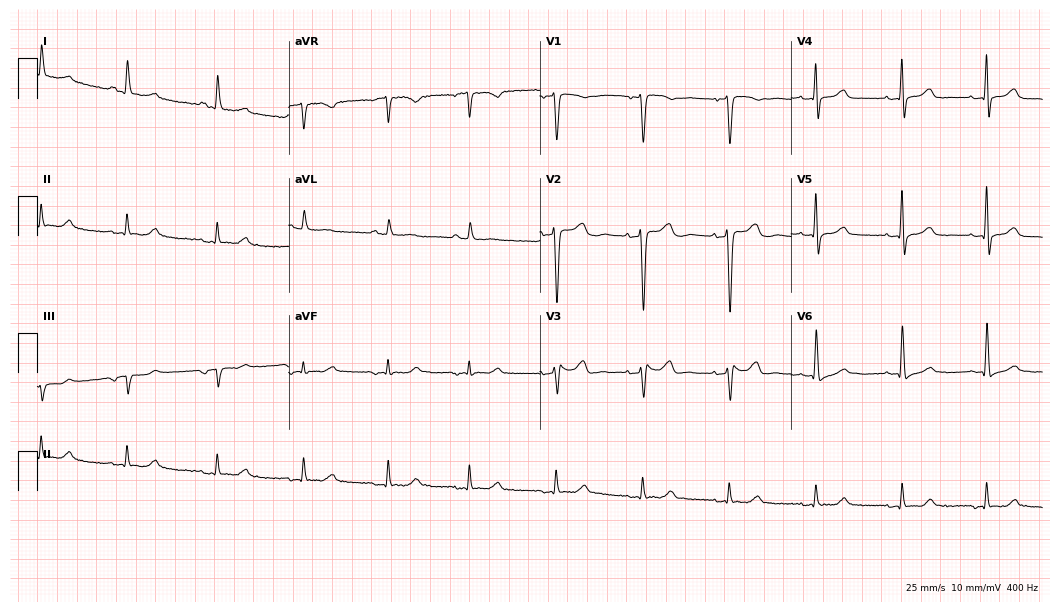
ECG — a woman, 75 years old. Labelled as a normal ECG.